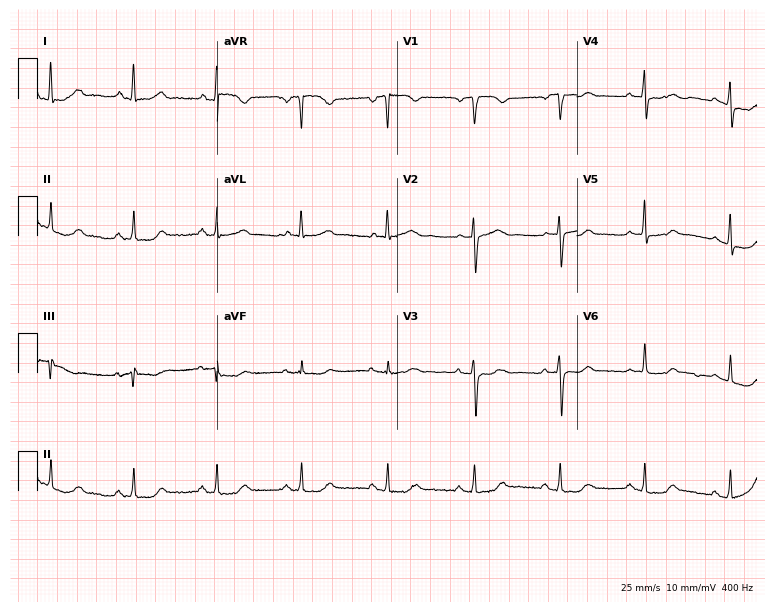
Resting 12-lead electrocardiogram (7.3-second recording at 400 Hz). Patient: a 70-year-old female. Read as a normal ECG.